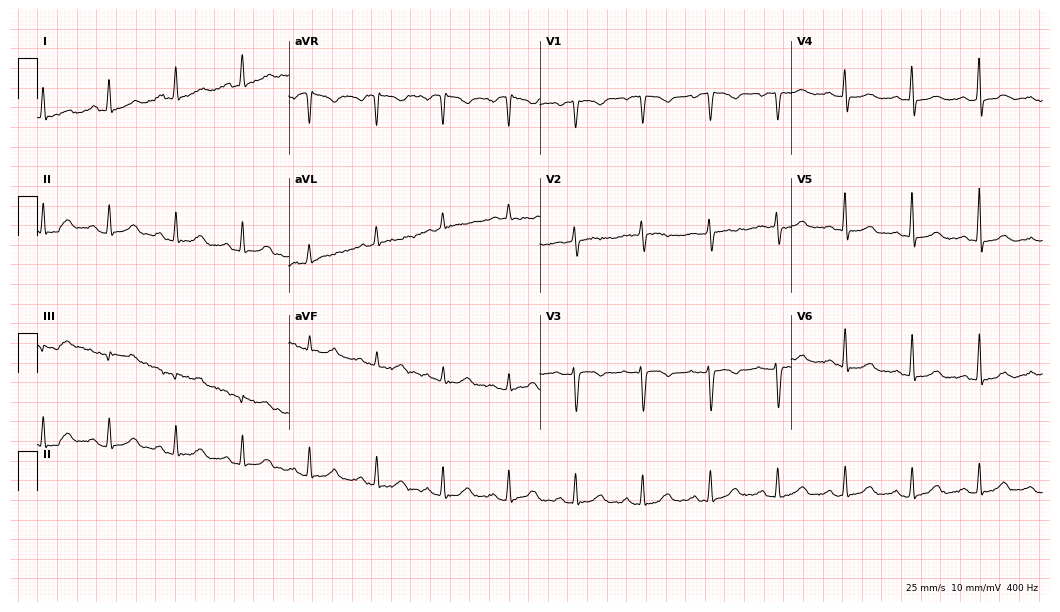
12-lead ECG from a 32-year-old female patient. Recorded interpretation: within normal limits.